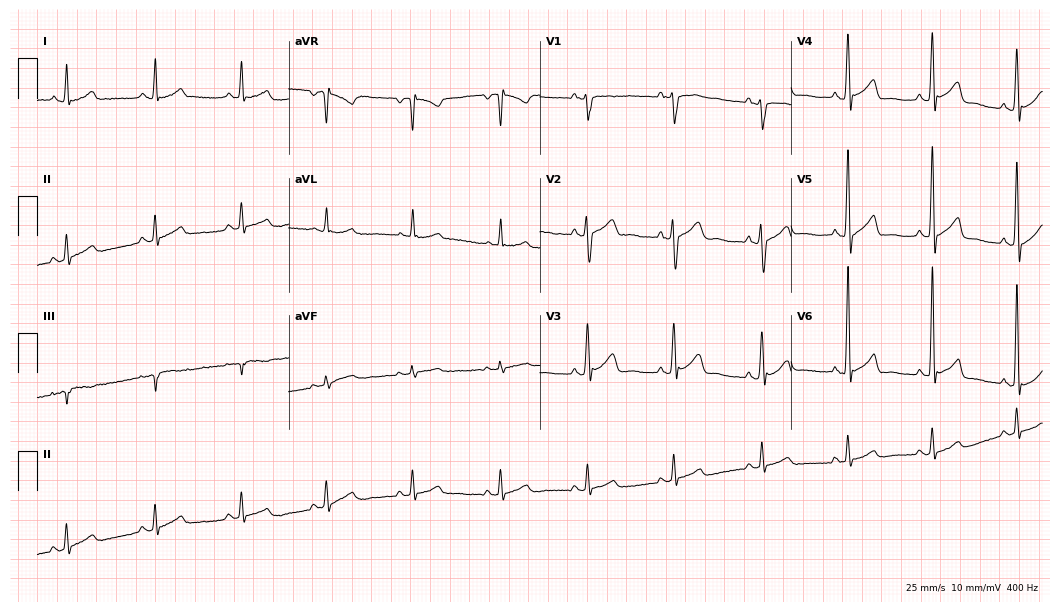
Standard 12-lead ECG recorded from a female, 51 years old. None of these six findings is recorded: first-degree AV block, right bundle branch block (RBBB), left bundle branch block (LBBB), sinus bradycardia, atrial fibrillation (AF), sinus tachycardia.